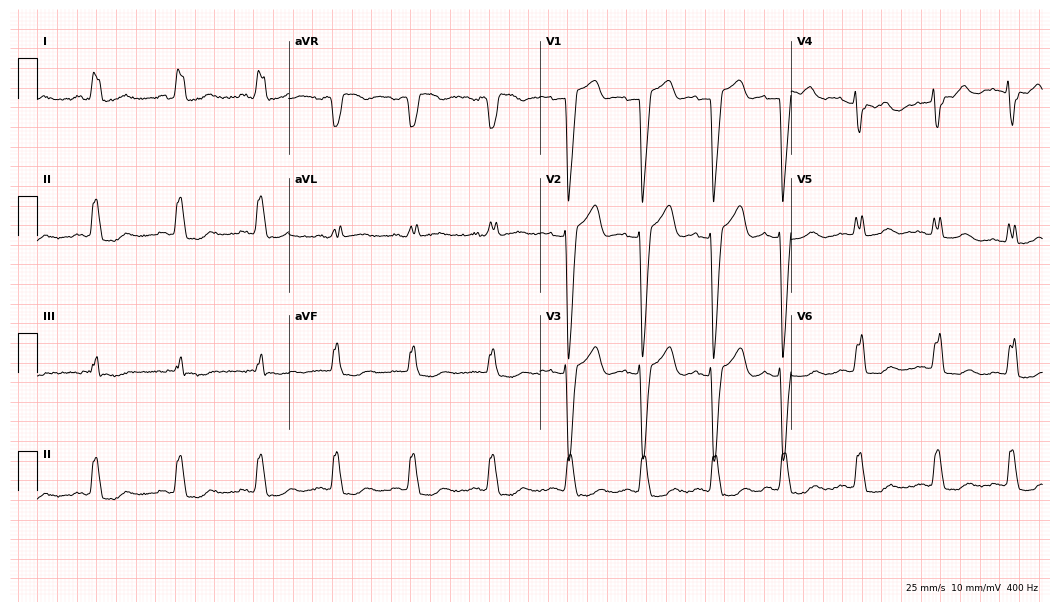
ECG — a female, 40 years old. Findings include left bundle branch block (LBBB).